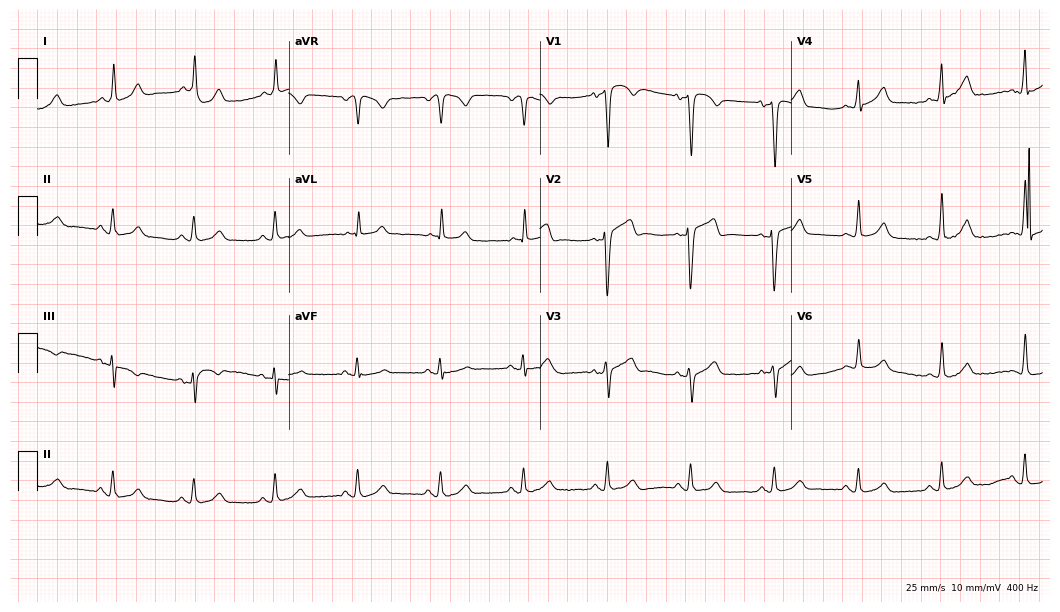
12-lead ECG from a 64-year-old male. Recorded interpretation: within normal limits.